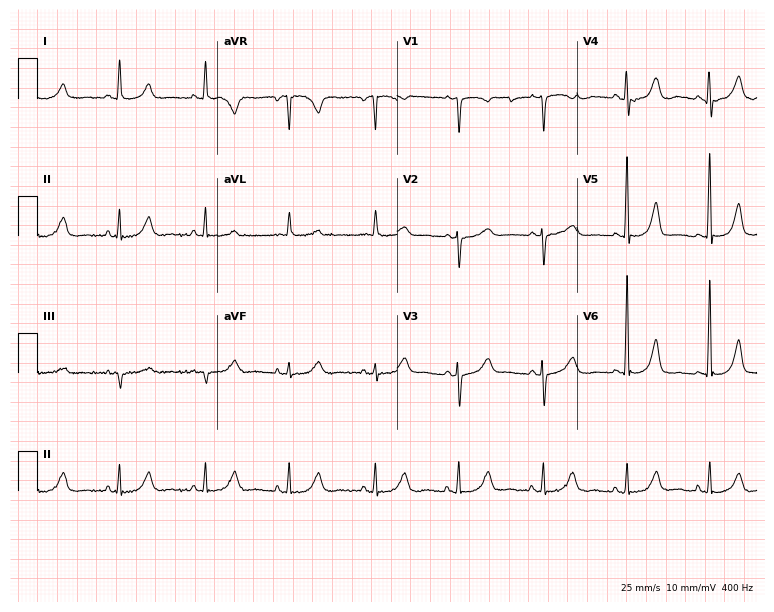
Resting 12-lead electrocardiogram. Patient: a female, 83 years old. Read as a normal ECG.